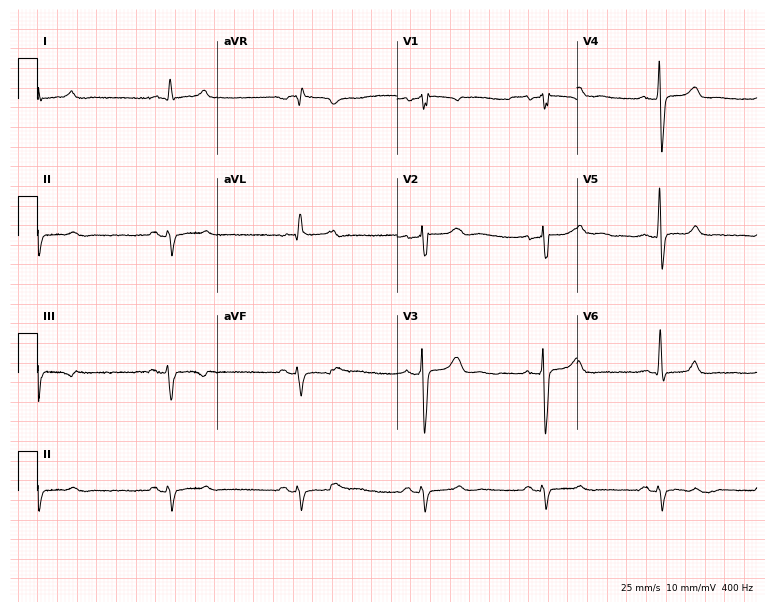
Electrocardiogram, a male patient, 64 years old. Of the six screened findings (first-degree AV block, right bundle branch block, left bundle branch block, sinus bradycardia, atrial fibrillation, sinus tachycardia), none is recorded.